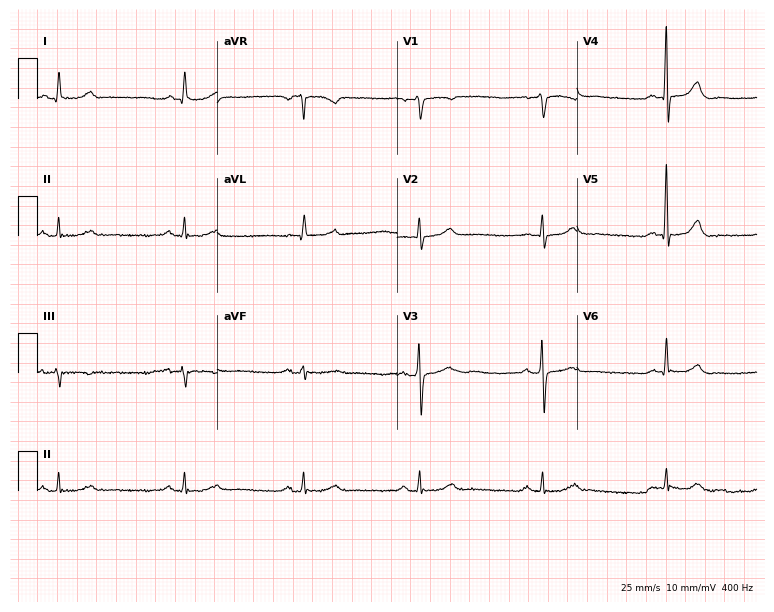
Resting 12-lead electrocardiogram (7.3-second recording at 400 Hz). Patient: a male, 71 years old. The tracing shows sinus bradycardia (a sinus rate of 50 beats per minute or less).